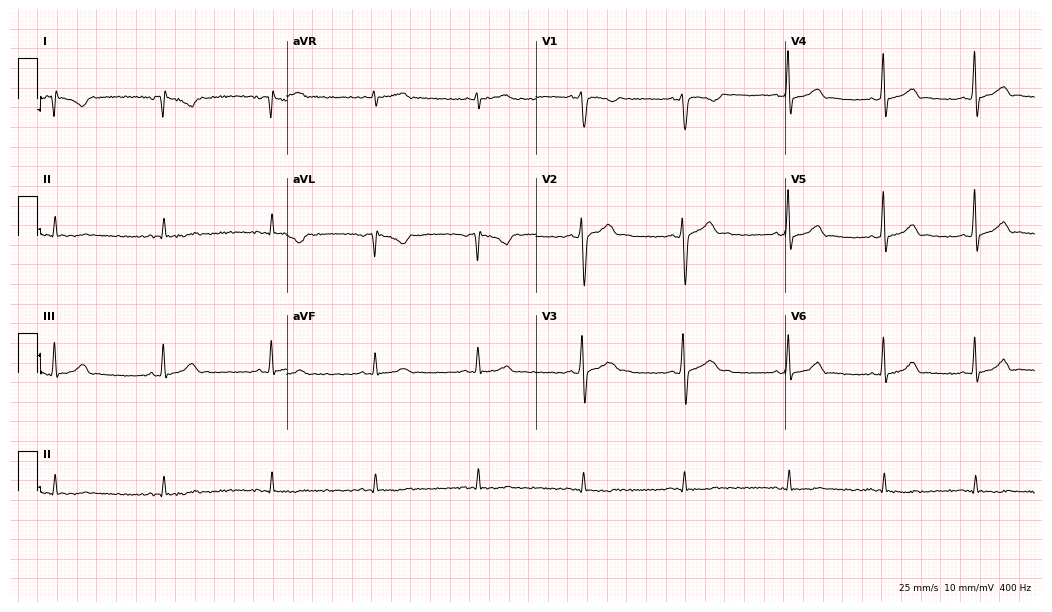
Resting 12-lead electrocardiogram (10.2-second recording at 400 Hz). Patient: a 34-year-old male. None of these six findings is recorded: first-degree AV block, right bundle branch block (RBBB), left bundle branch block (LBBB), sinus bradycardia, atrial fibrillation (AF), sinus tachycardia. Other findings, if any, are not listed.